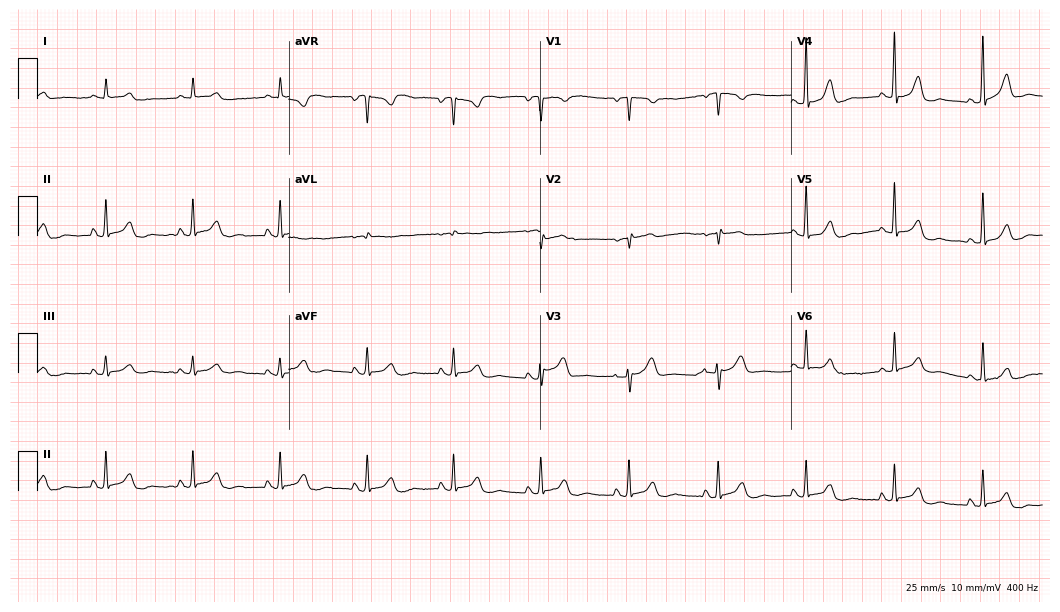
12-lead ECG from a female, 74 years old. Labelled as a normal ECG.